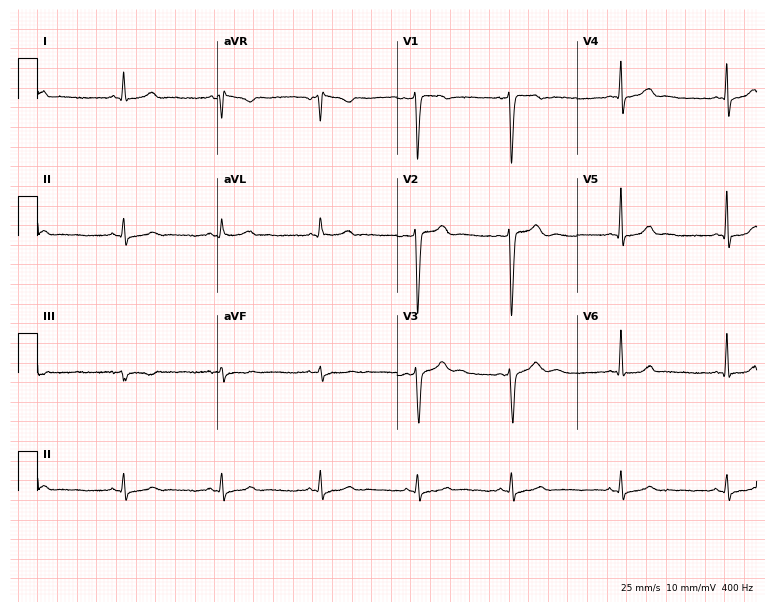
Standard 12-lead ECG recorded from a female, 28 years old. None of these six findings is recorded: first-degree AV block, right bundle branch block, left bundle branch block, sinus bradycardia, atrial fibrillation, sinus tachycardia. Only these six findings were labelled.